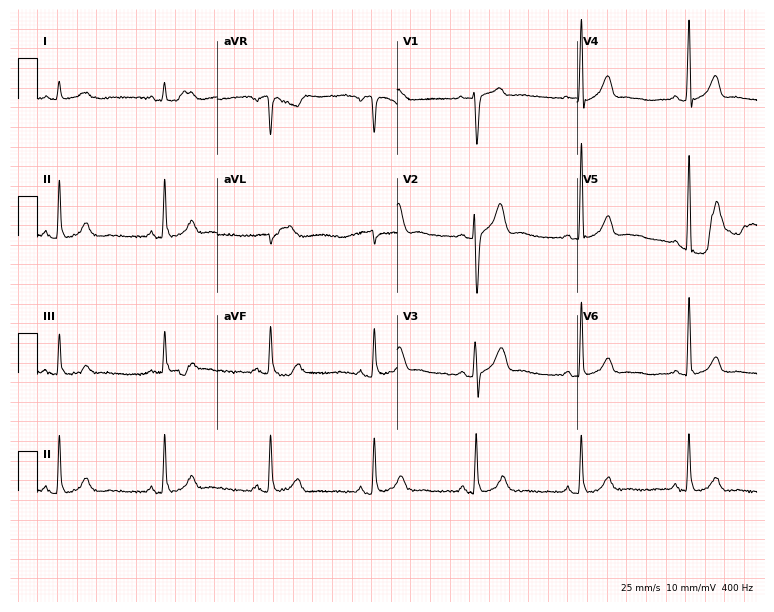
12-lead ECG from a 47-year-old male patient (7.3-second recording at 400 Hz). Recorded interpretation: within normal limits.